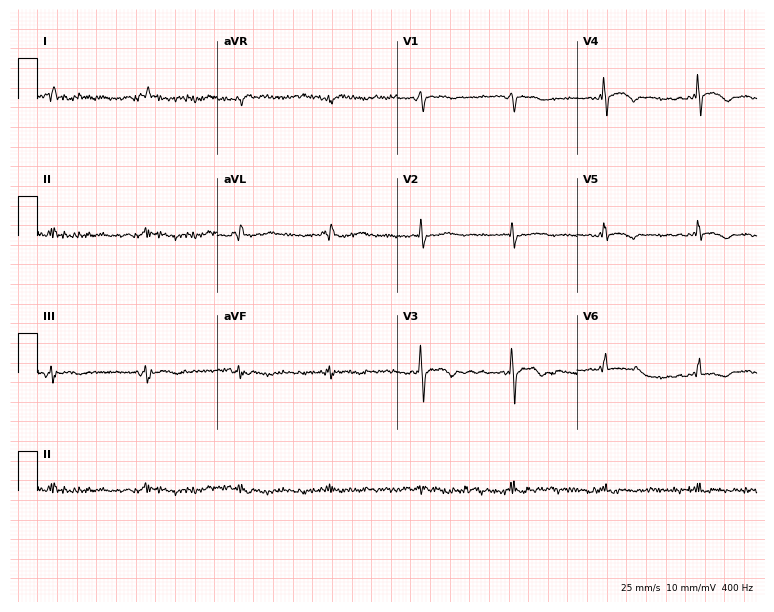
12-lead ECG (7.3-second recording at 400 Hz) from a female, 69 years old. Screened for six findings — first-degree AV block, right bundle branch block (RBBB), left bundle branch block (LBBB), sinus bradycardia, atrial fibrillation (AF), sinus tachycardia — none is recorded. Findings outside these six are not listed.